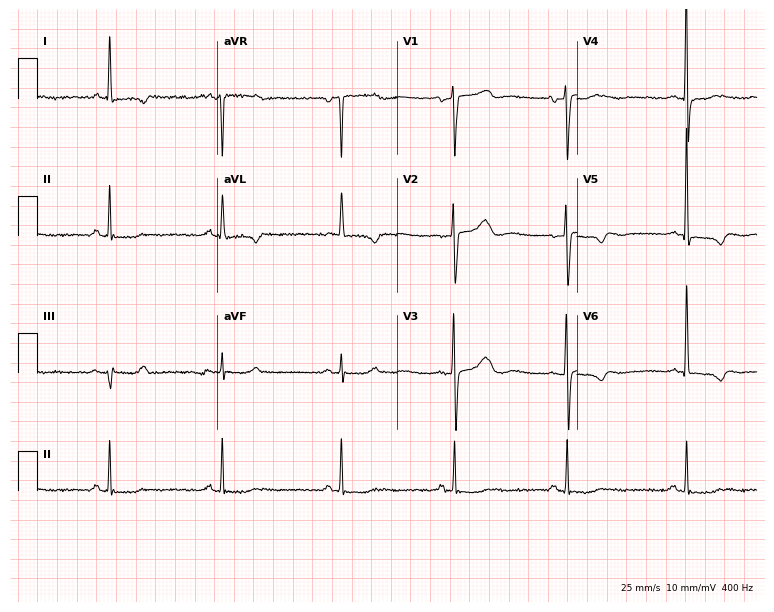
Resting 12-lead electrocardiogram (7.3-second recording at 400 Hz). Patient: a 75-year-old woman. None of these six findings is recorded: first-degree AV block, right bundle branch block, left bundle branch block, sinus bradycardia, atrial fibrillation, sinus tachycardia.